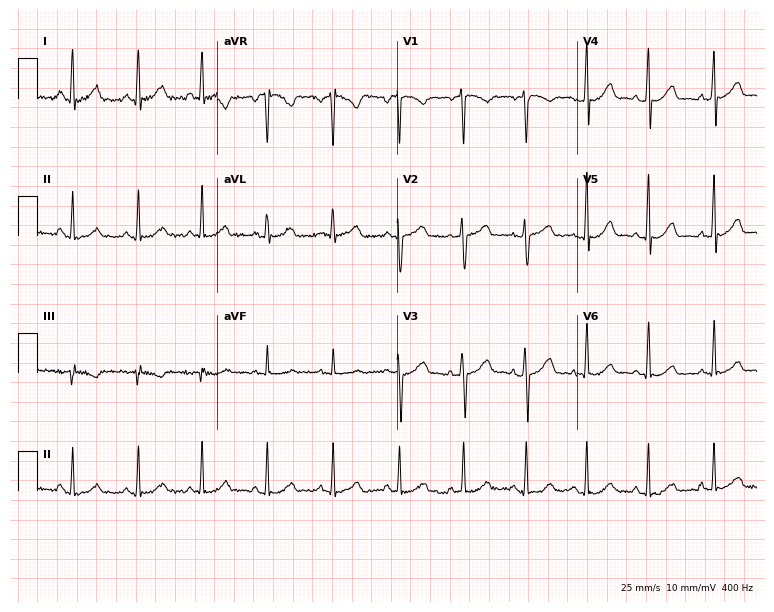
Electrocardiogram (7.3-second recording at 400 Hz), a woman, 30 years old. Overall reading on record: normal ECG.